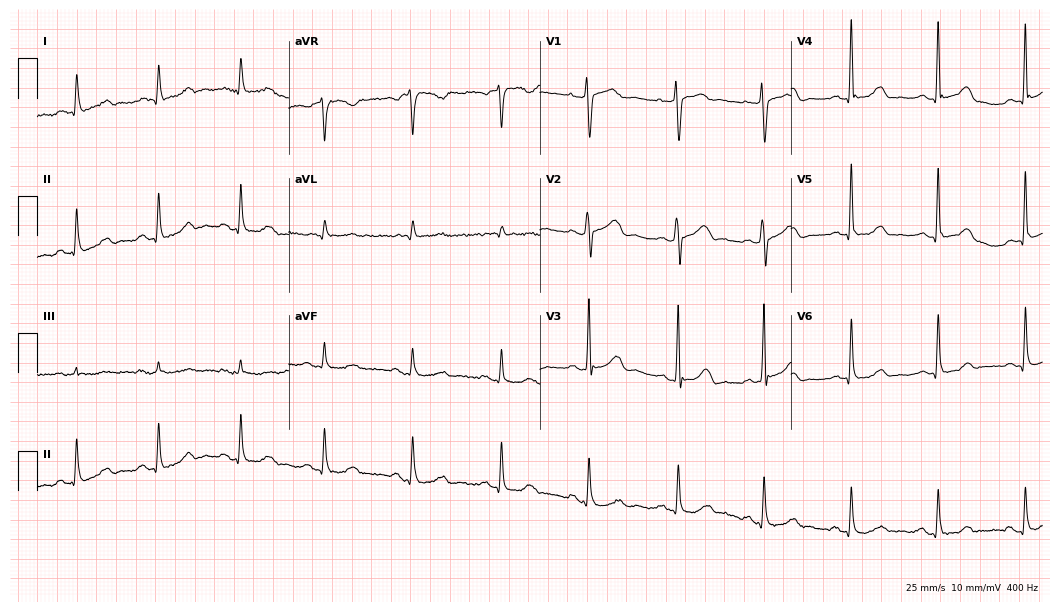
12-lead ECG (10.2-second recording at 400 Hz) from a 62-year-old female patient. Labelled as a normal ECG.